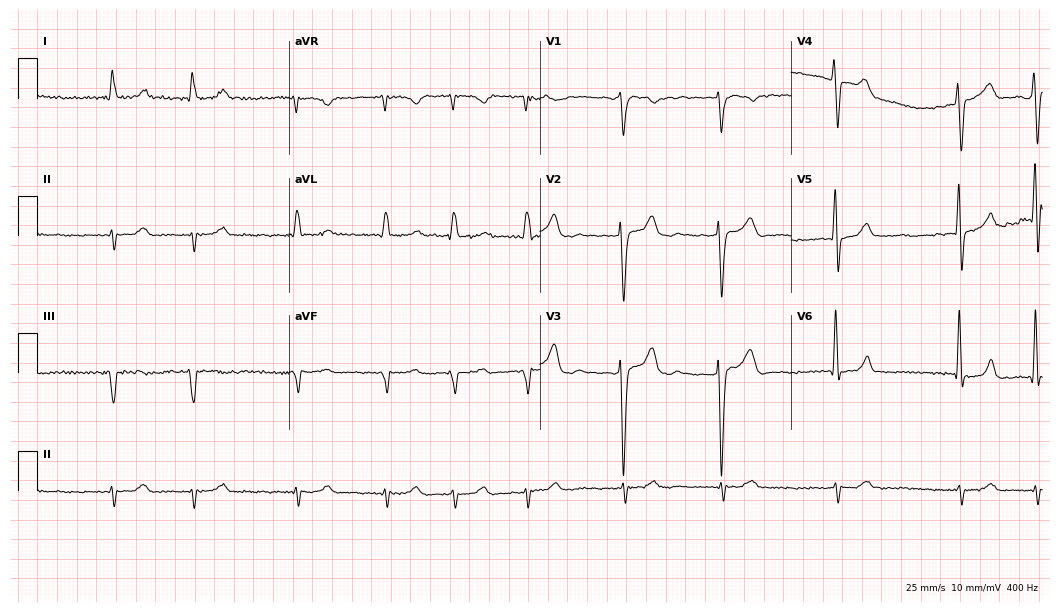
ECG (10.2-second recording at 400 Hz) — an 84-year-old man. Findings include atrial fibrillation.